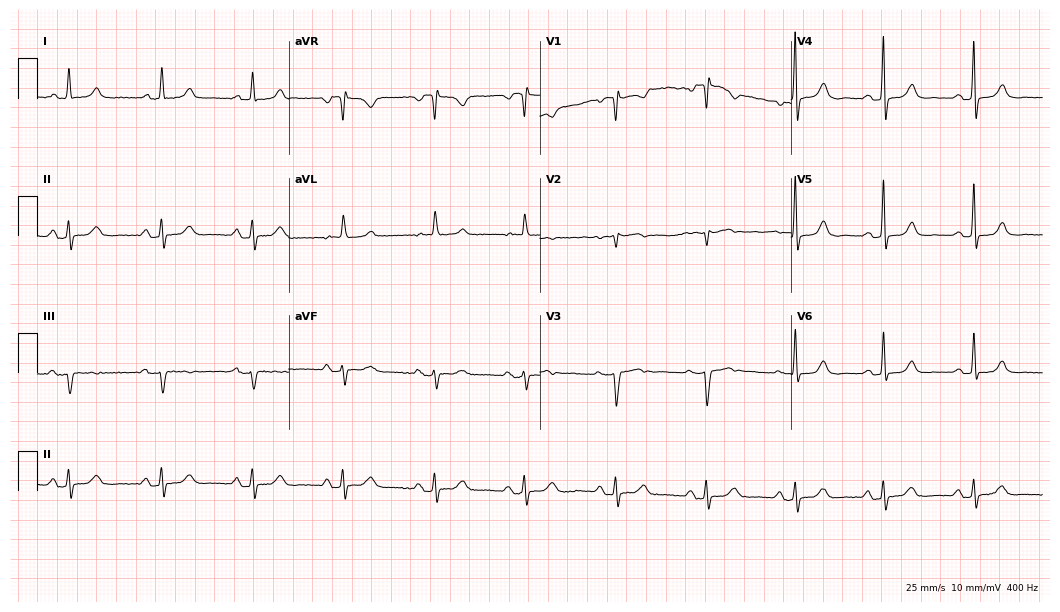
12-lead ECG from a female patient, 70 years old. Recorded interpretation: within normal limits.